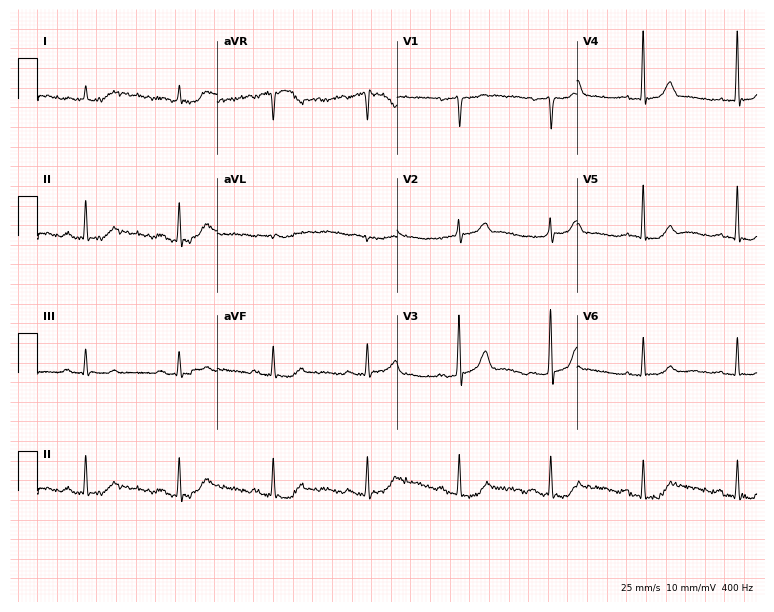
Resting 12-lead electrocardiogram (7.3-second recording at 400 Hz). Patient: a 68-year-old male. None of these six findings is recorded: first-degree AV block, right bundle branch block, left bundle branch block, sinus bradycardia, atrial fibrillation, sinus tachycardia. Only these six findings were labelled.